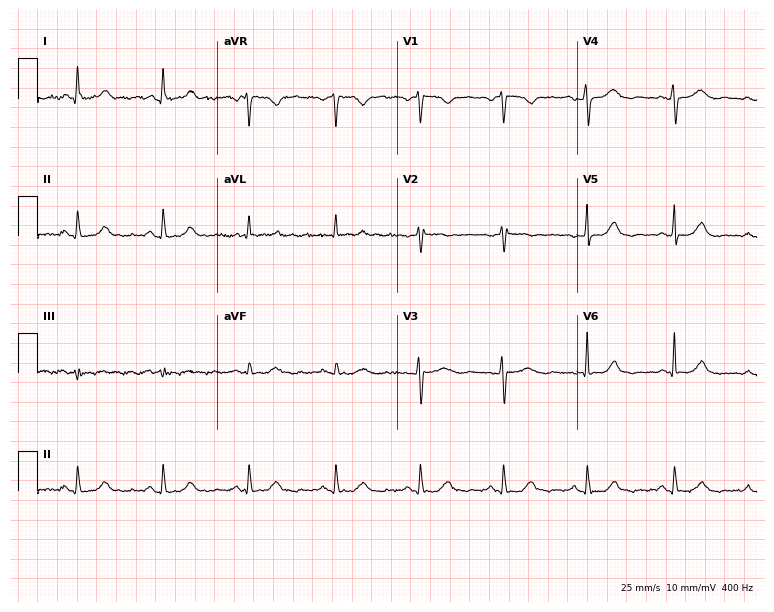
12-lead ECG from a woman, 71 years old (7.3-second recording at 400 Hz). No first-degree AV block, right bundle branch block, left bundle branch block, sinus bradycardia, atrial fibrillation or sinus tachycardia recorded for this tracing.